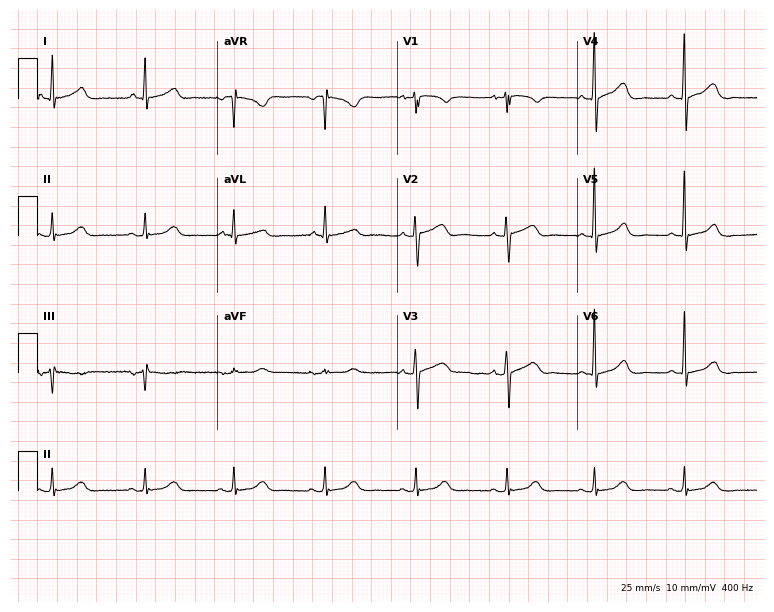
12-lead ECG from a 69-year-old female patient (7.3-second recording at 400 Hz). Recorded interpretation: within normal limits.